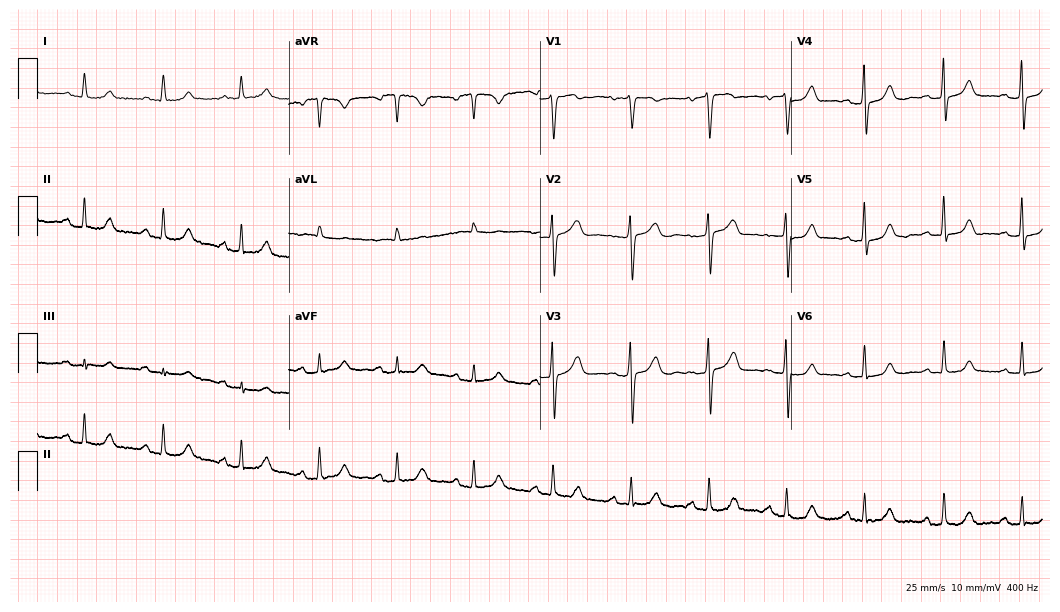
ECG (10.2-second recording at 400 Hz) — a female, 83 years old. Labelled as a normal ECG.